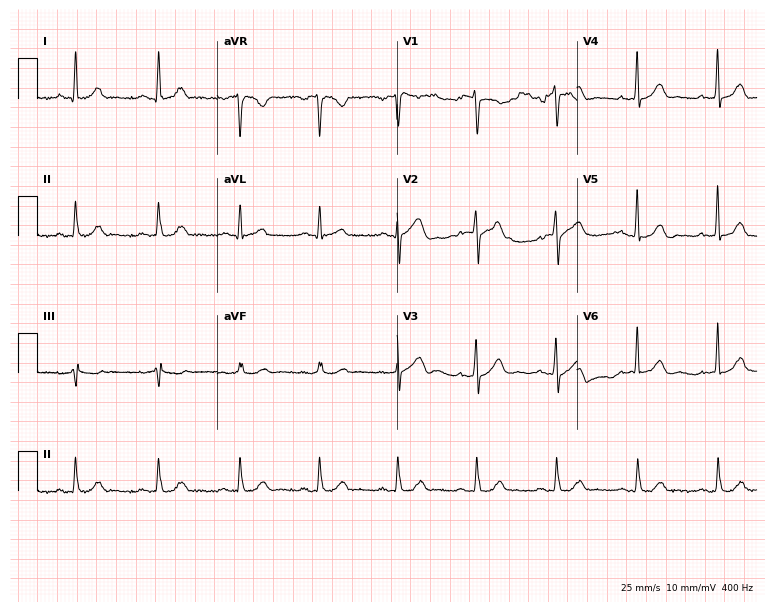
Standard 12-lead ECG recorded from a male patient, 53 years old (7.3-second recording at 400 Hz). Read as a normal ECG.